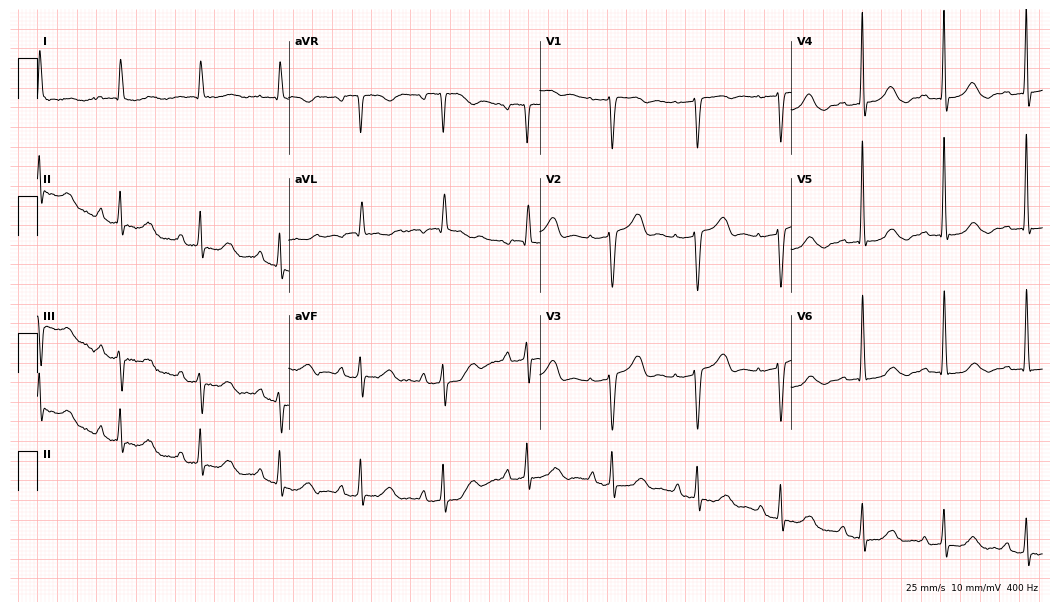
Electrocardiogram, an 82-year-old female. Interpretation includes first-degree AV block.